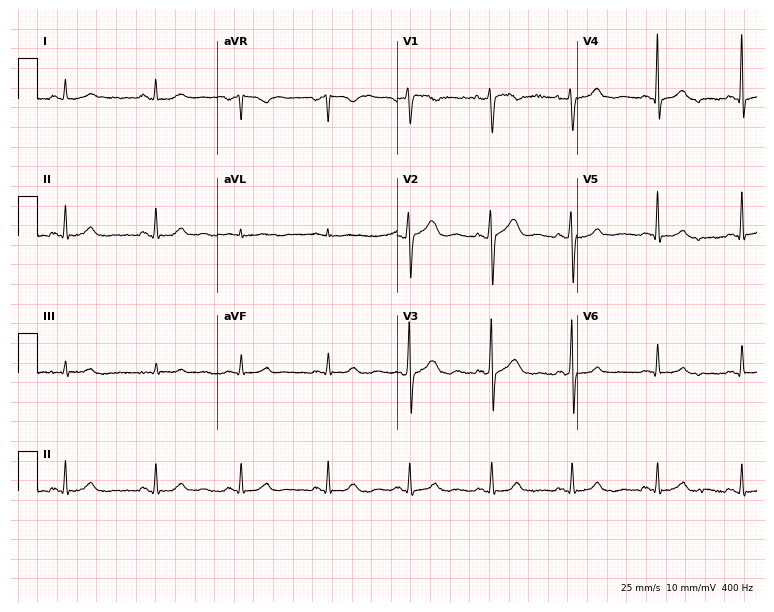
Electrocardiogram, a 45-year-old woman. Of the six screened findings (first-degree AV block, right bundle branch block (RBBB), left bundle branch block (LBBB), sinus bradycardia, atrial fibrillation (AF), sinus tachycardia), none is recorded. Findings outside these six are not listed.